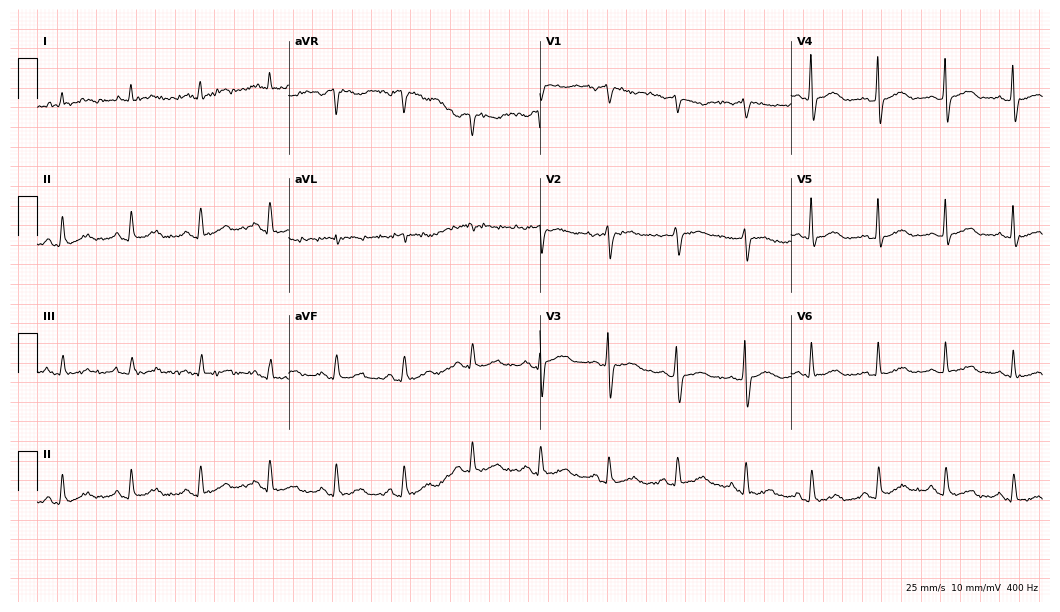
12-lead ECG (10.2-second recording at 400 Hz) from a male patient, 79 years old. Screened for six findings — first-degree AV block, right bundle branch block, left bundle branch block, sinus bradycardia, atrial fibrillation, sinus tachycardia — none is recorded.